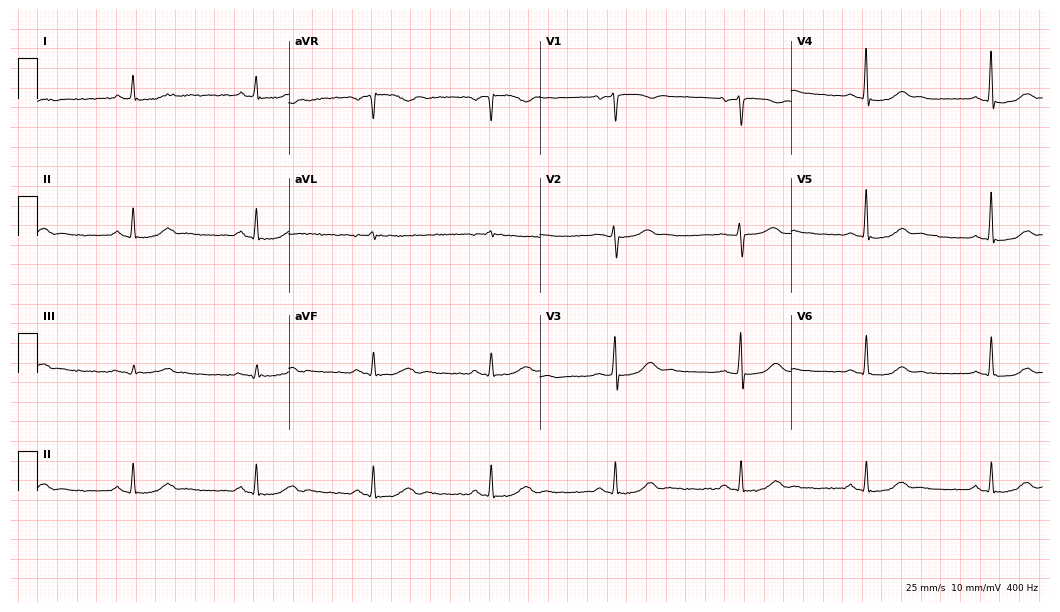
Electrocardiogram, a female, 57 years old. Interpretation includes sinus bradycardia (a sinus rate of 50 beats per minute or less).